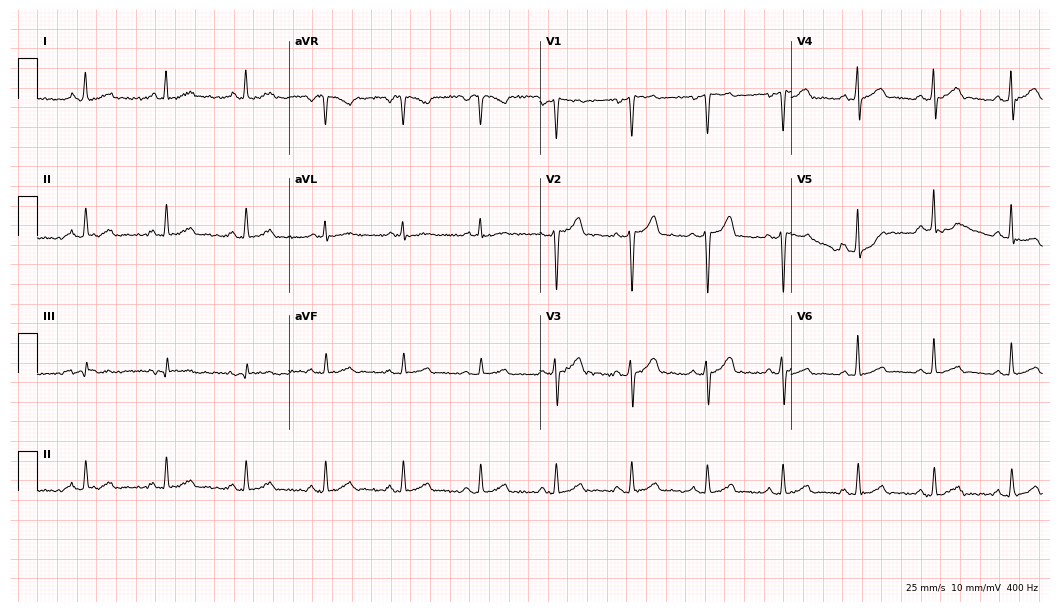
ECG (10.2-second recording at 400 Hz) — a male, 46 years old. Labelled as a normal ECG.